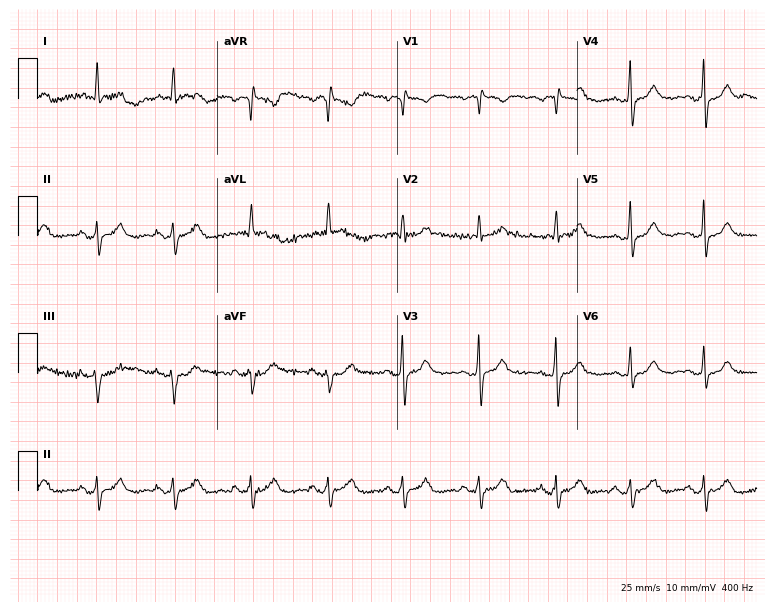
ECG (7.3-second recording at 400 Hz) — a female, 82 years old. Screened for six findings — first-degree AV block, right bundle branch block, left bundle branch block, sinus bradycardia, atrial fibrillation, sinus tachycardia — none is recorded. Findings outside these six are not listed.